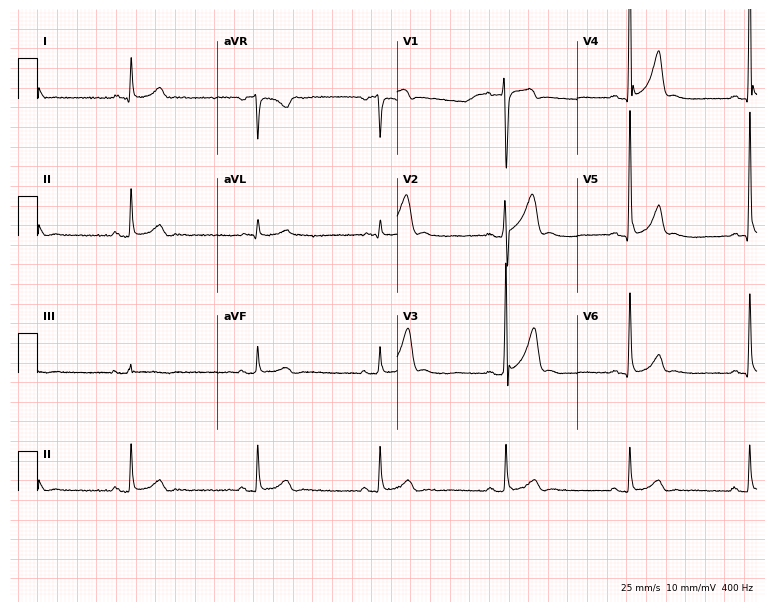
Electrocardiogram (7.3-second recording at 400 Hz), a 47-year-old man. Interpretation includes sinus bradycardia (a sinus rate of 50 beats per minute or less).